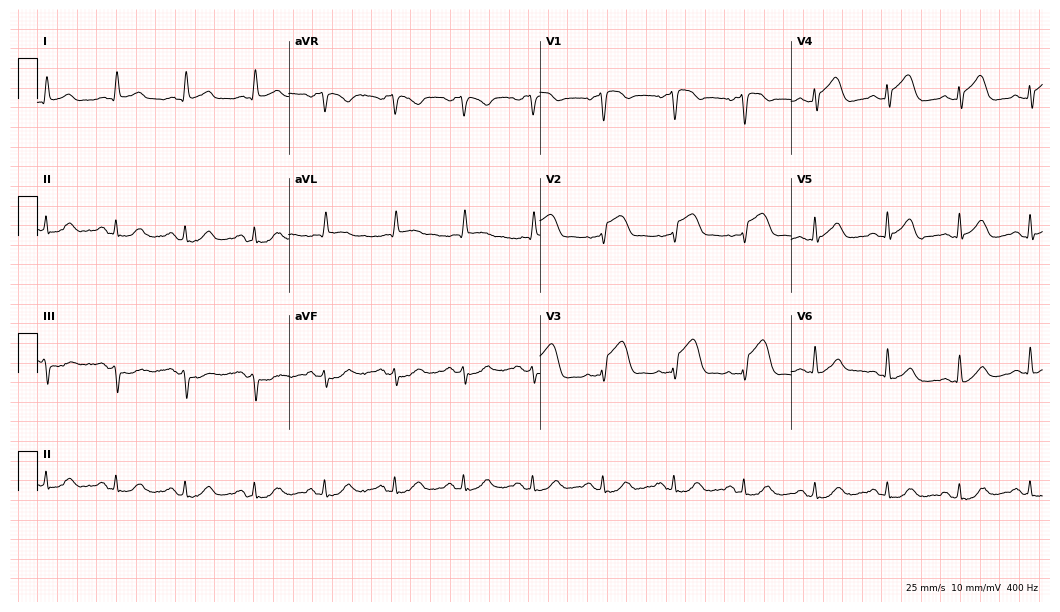
Electrocardiogram (10.2-second recording at 400 Hz), a male patient, 71 years old. Of the six screened findings (first-degree AV block, right bundle branch block, left bundle branch block, sinus bradycardia, atrial fibrillation, sinus tachycardia), none is recorded. Other findings, if any, are not listed.